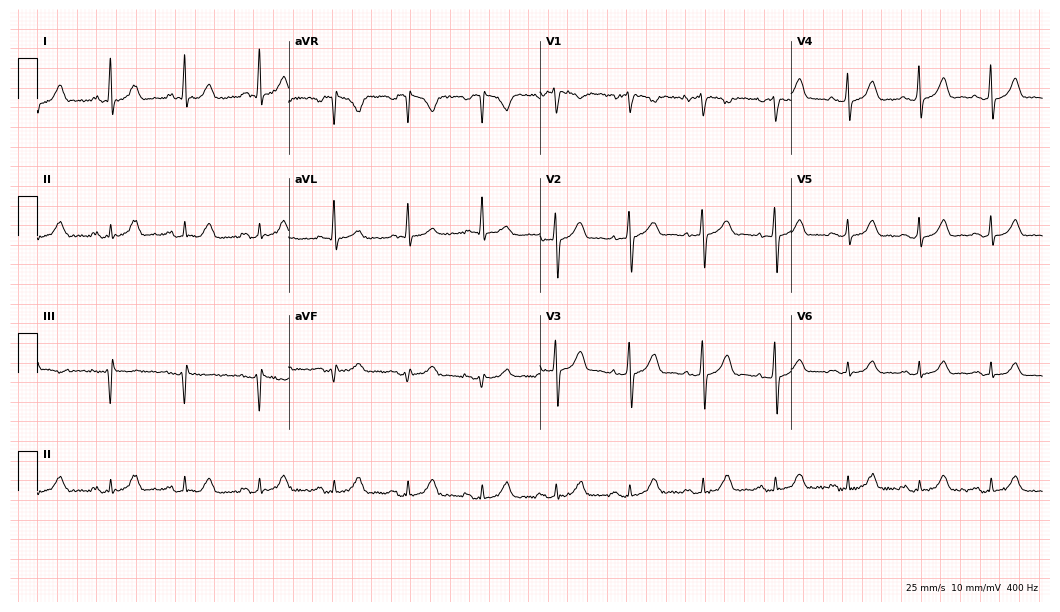
Standard 12-lead ECG recorded from a female, 56 years old (10.2-second recording at 400 Hz). Read as a normal ECG.